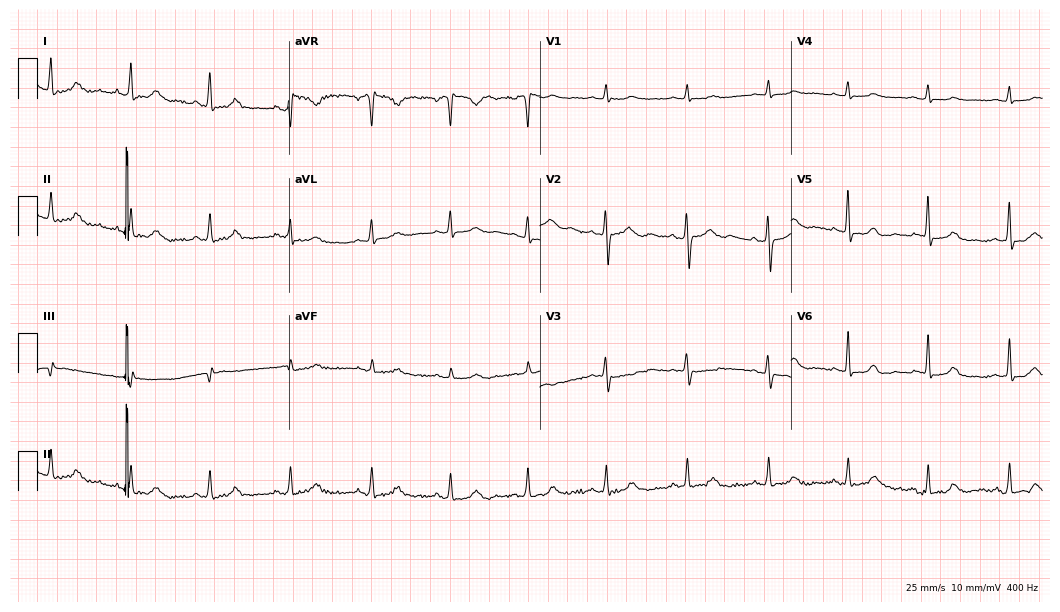
12-lead ECG from a female patient, 42 years old. No first-degree AV block, right bundle branch block, left bundle branch block, sinus bradycardia, atrial fibrillation or sinus tachycardia recorded for this tracing.